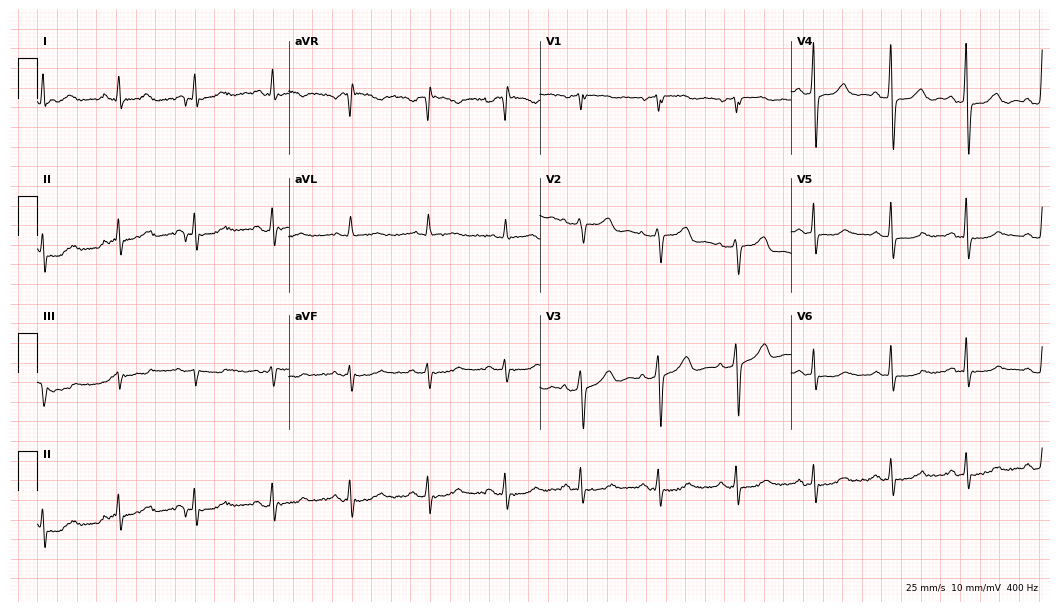
Standard 12-lead ECG recorded from a male, 74 years old. Read as a normal ECG.